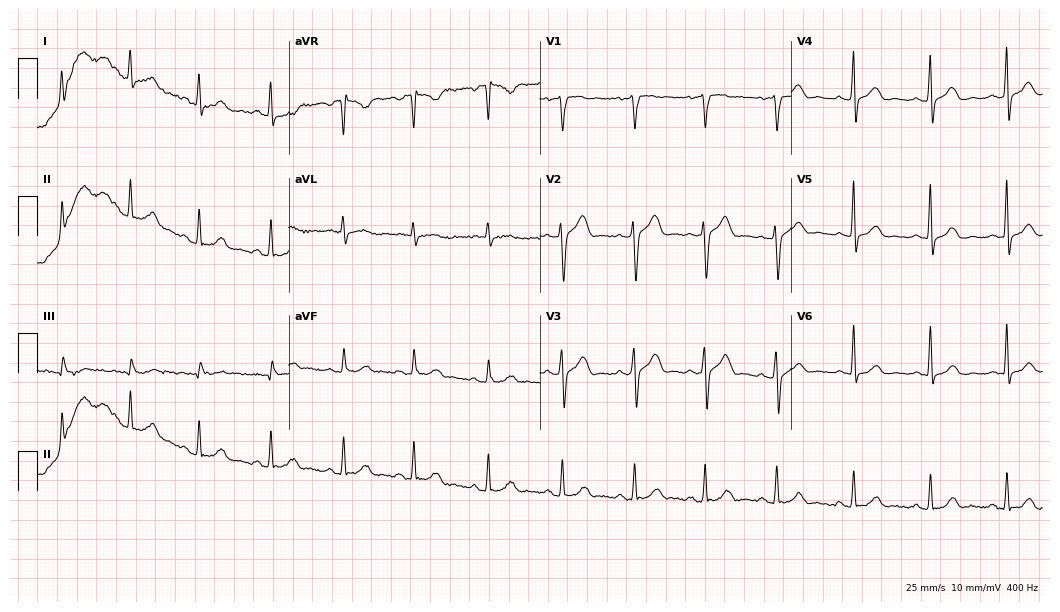
ECG — a 36-year-old man. Labelled as a normal ECG.